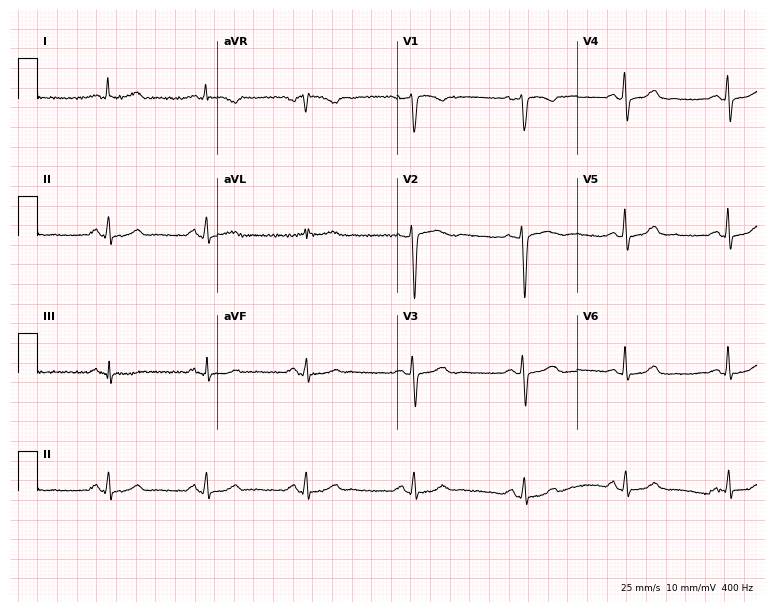
12-lead ECG (7.3-second recording at 400 Hz) from a 49-year-old female. Labelled as a normal ECG.